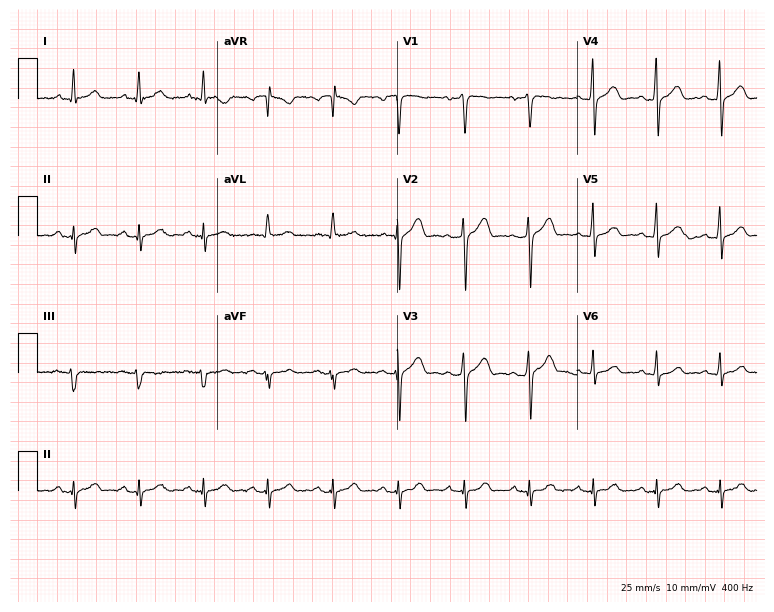
Standard 12-lead ECG recorded from a 54-year-old man. None of these six findings is recorded: first-degree AV block, right bundle branch block, left bundle branch block, sinus bradycardia, atrial fibrillation, sinus tachycardia. Other findings, if any, are not listed.